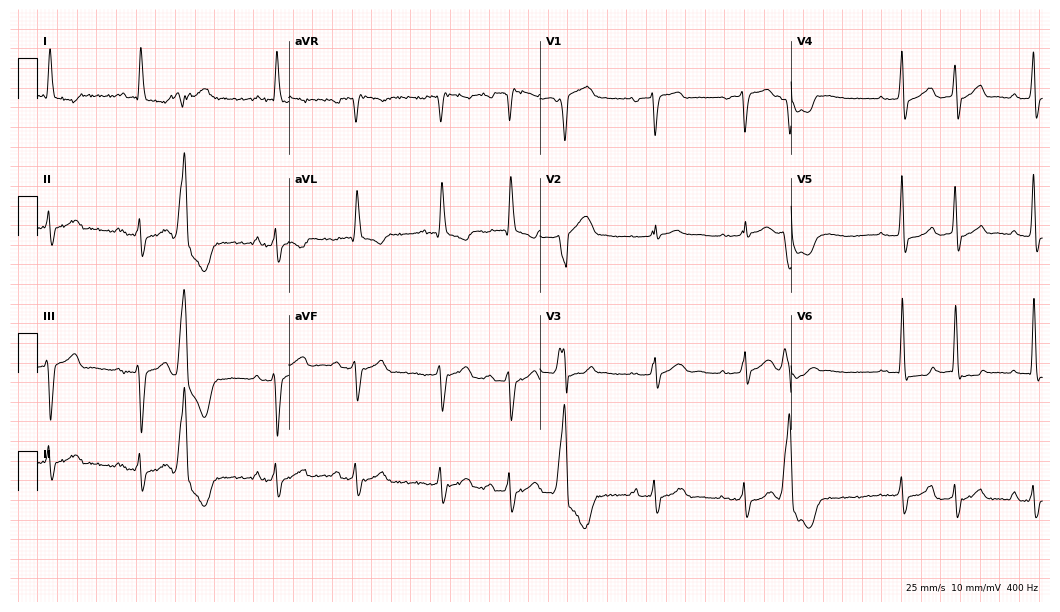
Electrocardiogram, a 71-year-old man. Of the six screened findings (first-degree AV block, right bundle branch block, left bundle branch block, sinus bradycardia, atrial fibrillation, sinus tachycardia), none is recorded. Other findings, if any, are not listed.